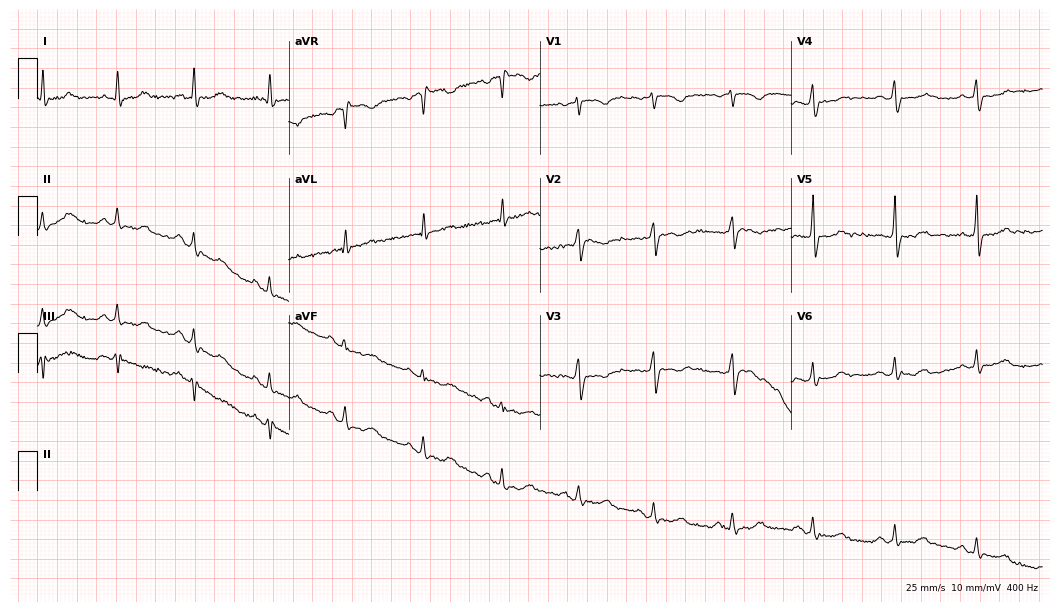
Resting 12-lead electrocardiogram (10.2-second recording at 400 Hz). Patient: a woman, 37 years old. None of these six findings is recorded: first-degree AV block, right bundle branch block (RBBB), left bundle branch block (LBBB), sinus bradycardia, atrial fibrillation (AF), sinus tachycardia.